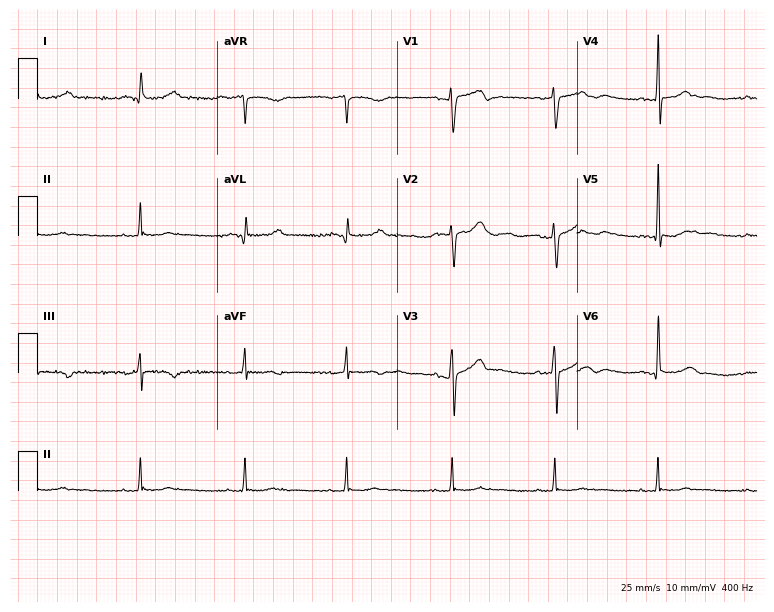
ECG — a 67-year-old man. Screened for six findings — first-degree AV block, right bundle branch block, left bundle branch block, sinus bradycardia, atrial fibrillation, sinus tachycardia — none is recorded. Findings outside these six are not listed.